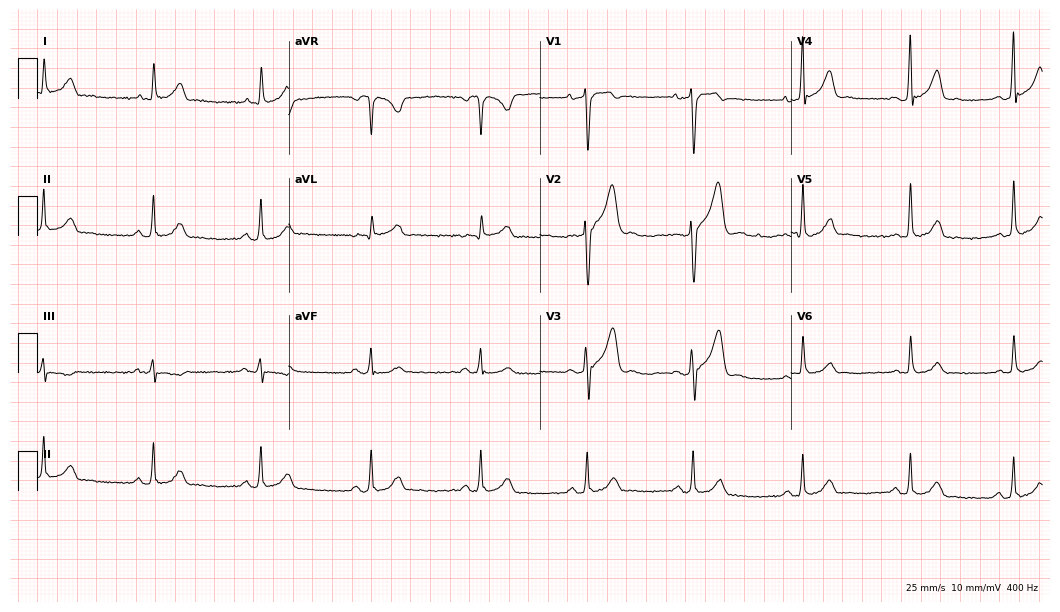
Standard 12-lead ECG recorded from a 47-year-old man (10.2-second recording at 400 Hz). None of these six findings is recorded: first-degree AV block, right bundle branch block (RBBB), left bundle branch block (LBBB), sinus bradycardia, atrial fibrillation (AF), sinus tachycardia. Only these six findings were labelled.